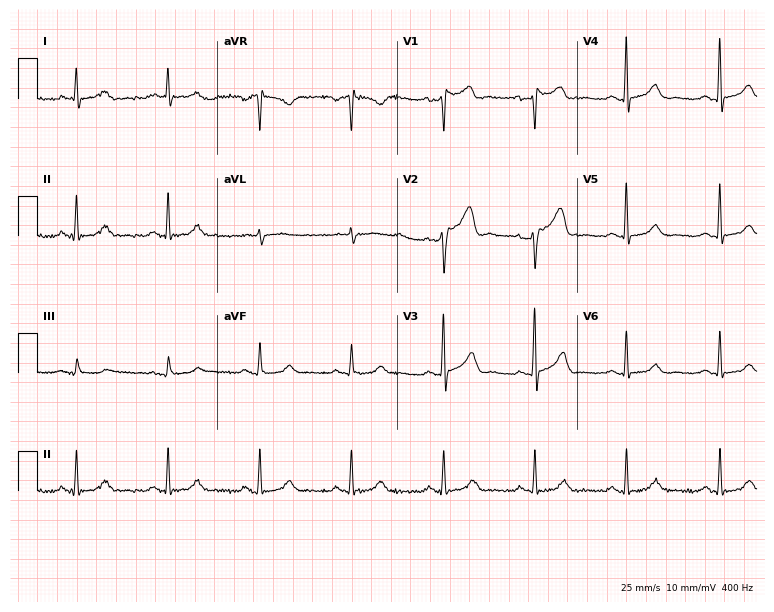
Standard 12-lead ECG recorded from a man, 49 years old. None of these six findings is recorded: first-degree AV block, right bundle branch block, left bundle branch block, sinus bradycardia, atrial fibrillation, sinus tachycardia.